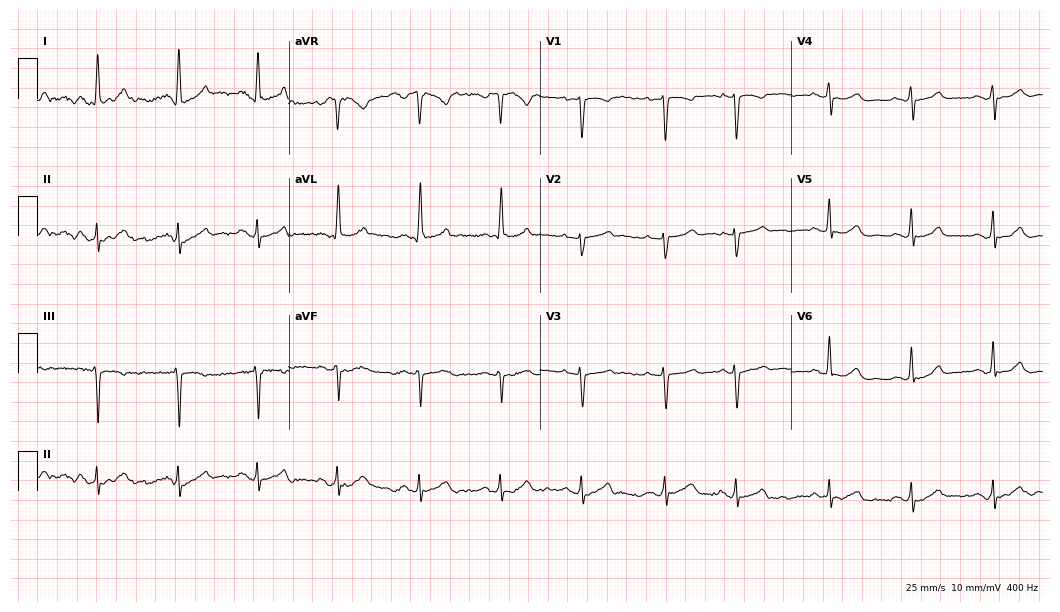
12-lead ECG from a 62-year-old female patient. Recorded interpretation: within normal limits.